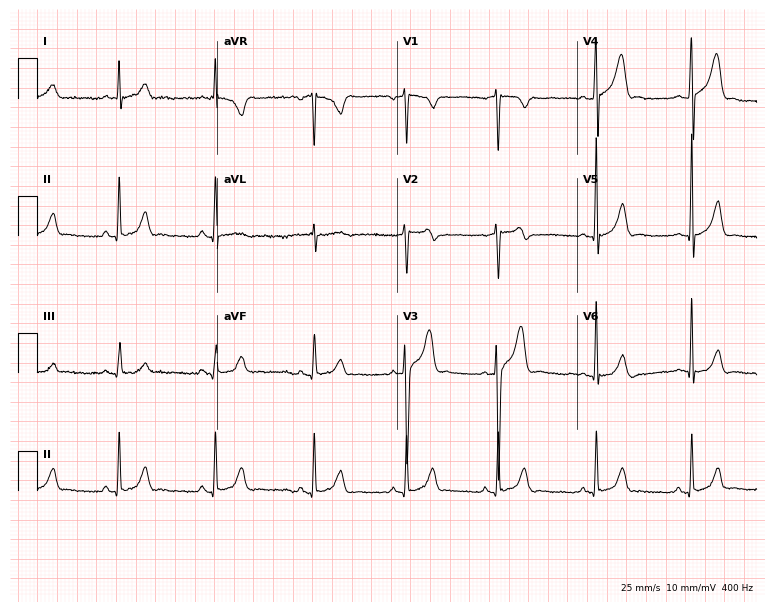
12-lead ECG from a male patient, 29 years old. Labelled as a normal ECG.